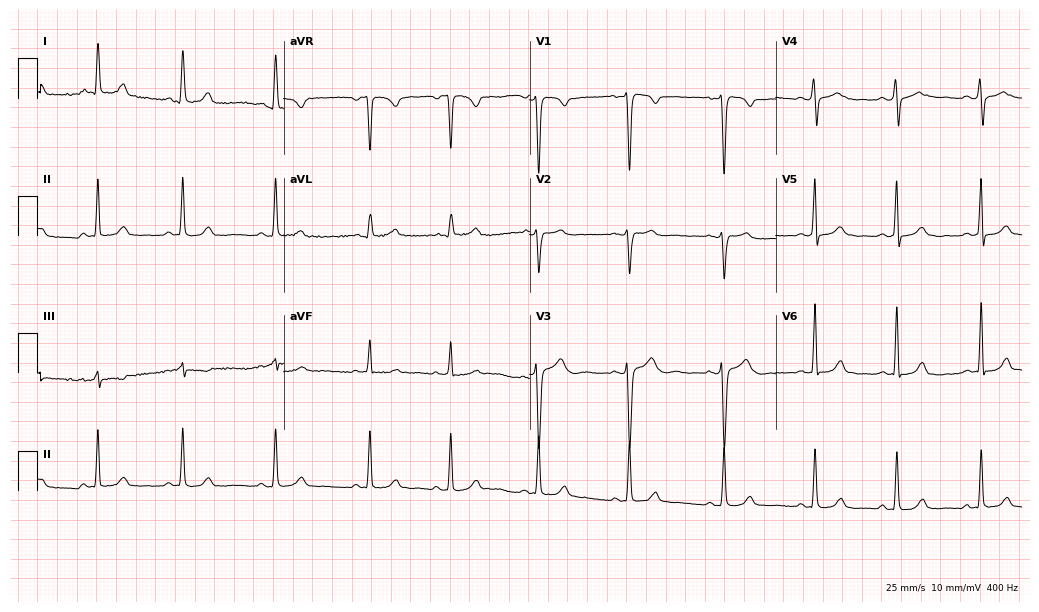
Electrocardiogram (10-second recording at 400 Hz), a 20-year-old female patient. Overall reading on record: normal ECG.